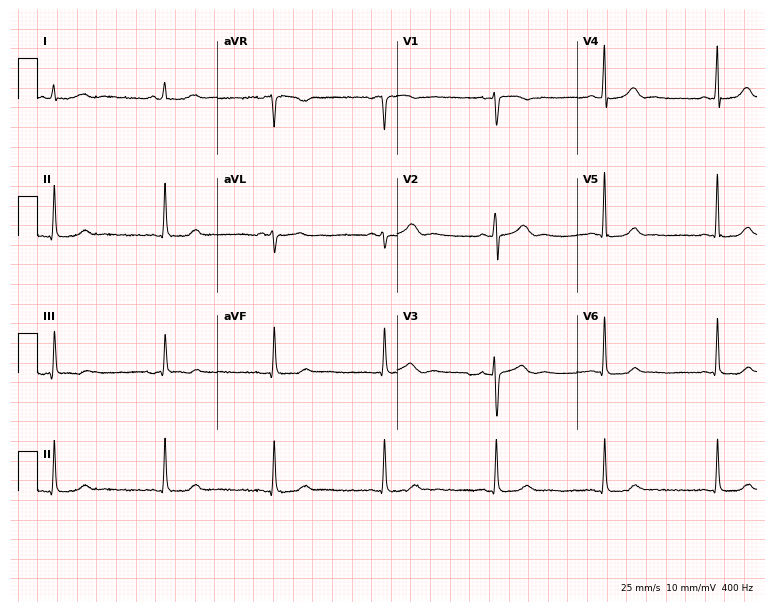
Standard 12-lead ECG recorded from a female patient, 54 years old (7.3-second recording at 400 Hz). Read as a normal ECG.